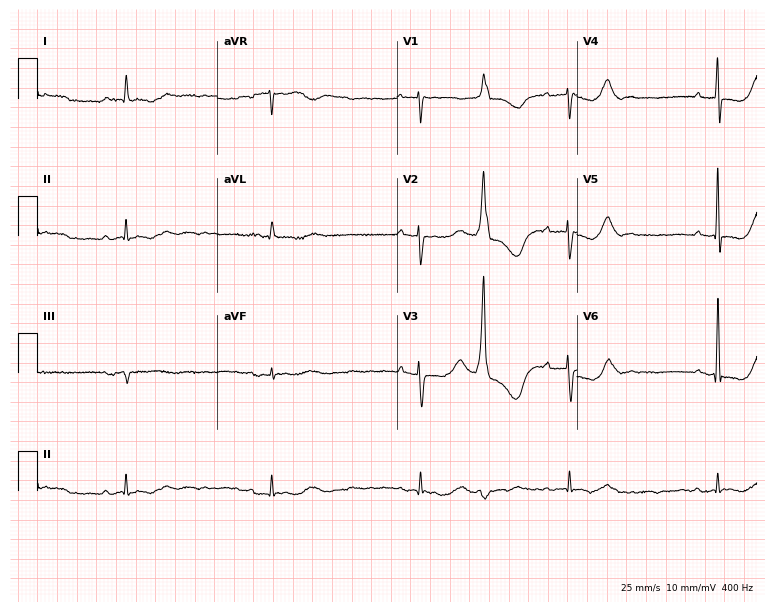
Standard 12-lead ECG recorded from a man, 69 years old (7.3-second recording at 400 Hz). The tracing shows sinus bradycardia (a sinus rate of 50 beats per minute or less).